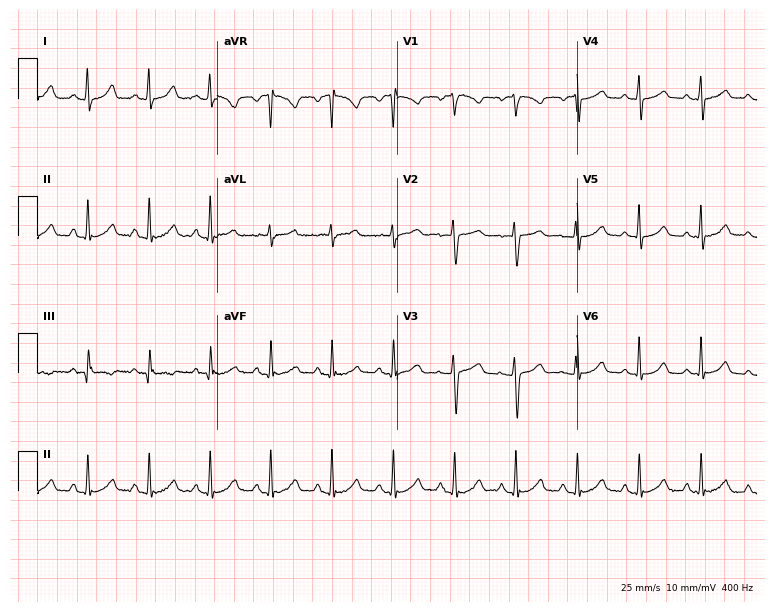
Resting 12-lead electrocardiogram. Patient: a 32-year-old female. Read as a normal ECG.